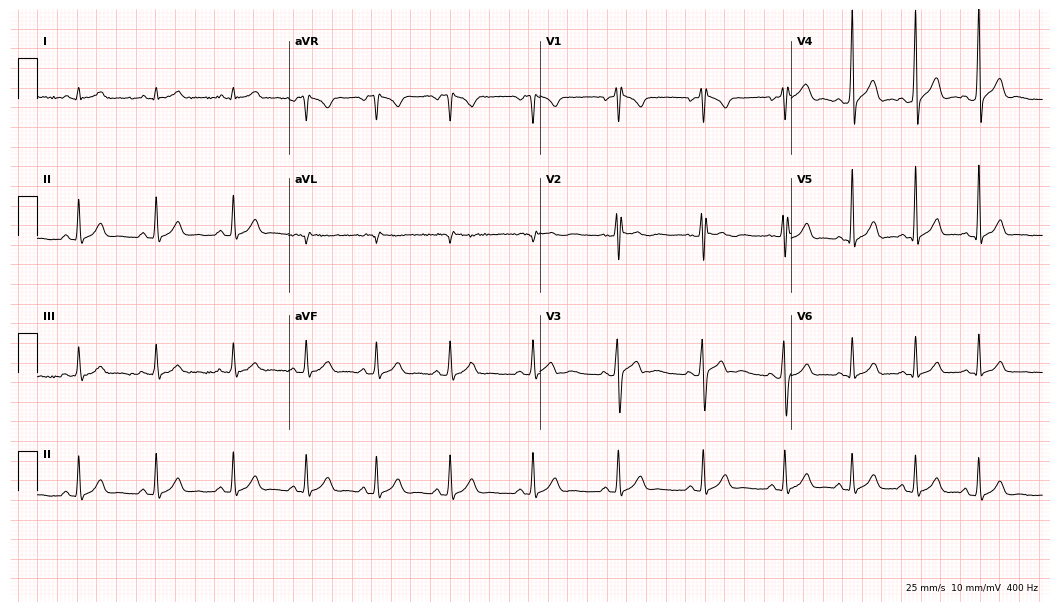
Standard 12-lead ECG recorded from a 19-year-old male (10.2-second recording at 400 Hz). None of these six findings is recorded: first-degree AV block, right bundle branch block, left bundle branch block, sinus bradycardia, atrial fibrillation, sinus tachycardia. Only these six findings were labelled.